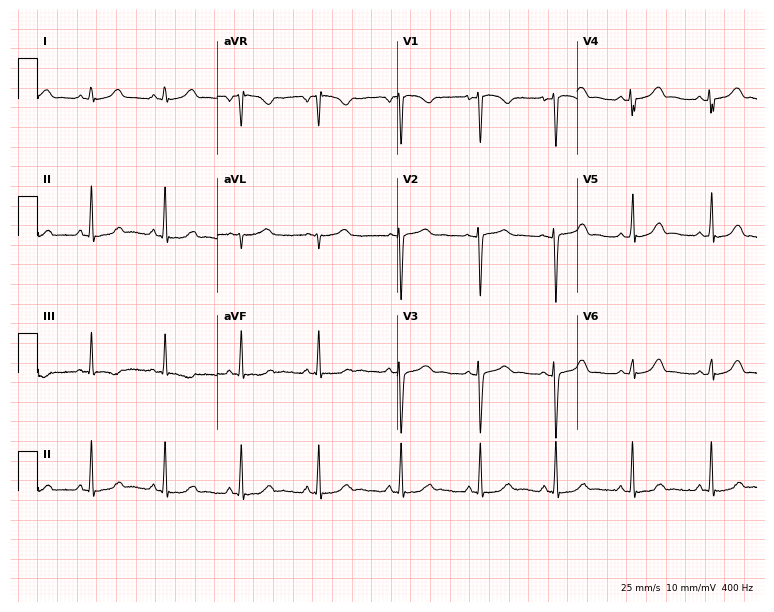
12-lead ECG from a female patient, 19 years old (7.3-second recording at 400 Hz). Recorded interpretation: within normal limits.